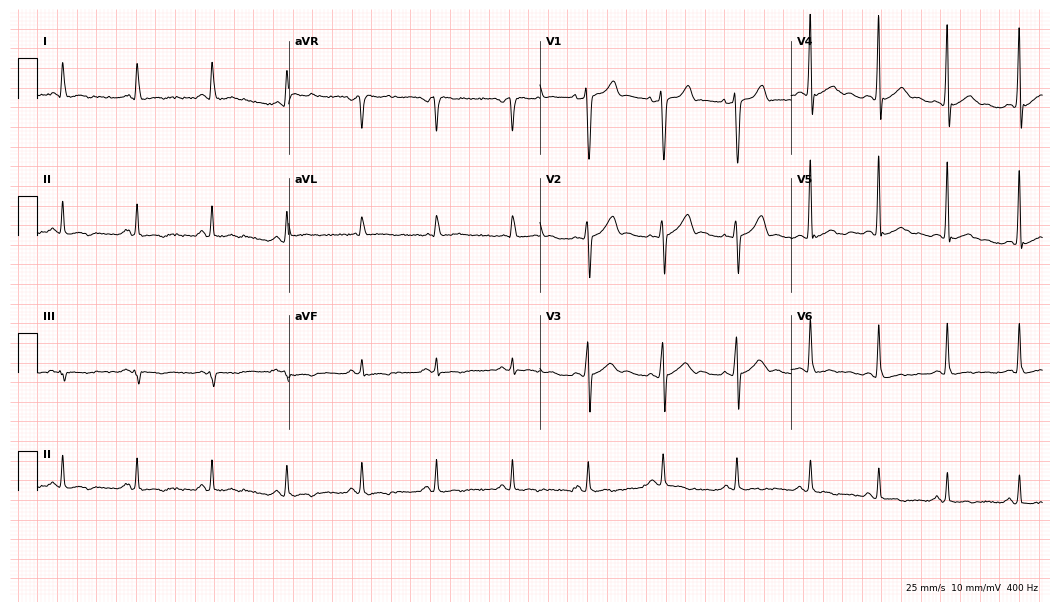
12-lead ECG from a 53-year-old man (10.2-second recording at 400 Hz). No first-degree AV block, right bundle branch block, left bundle branch block, sinus bradycardia, atrial fibrillation or sinus tachycardia recorded for this tracing.